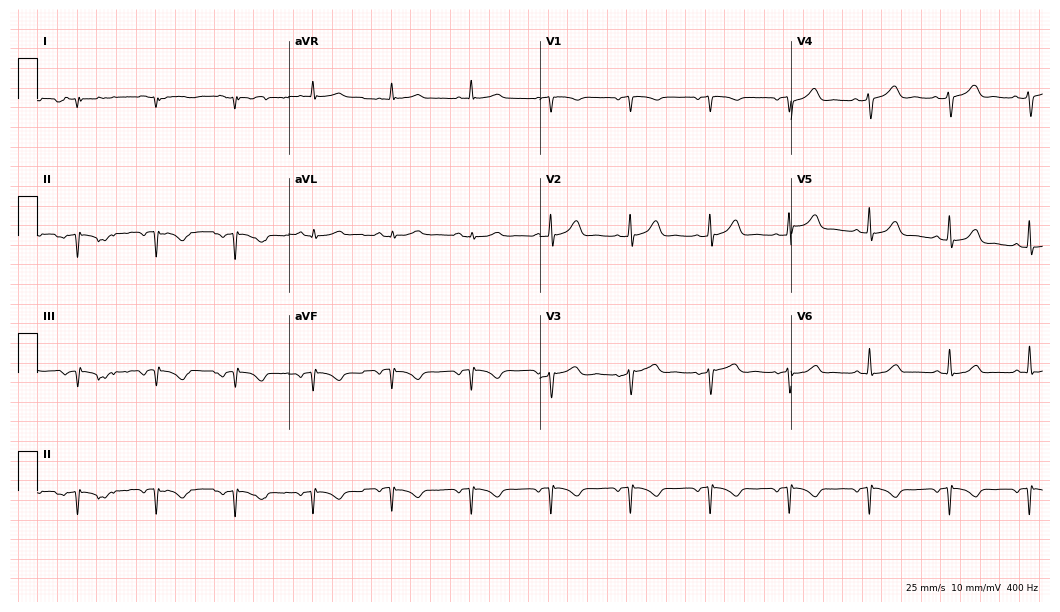
12-lead ECG from a 57-year-old woman. No first-degree AV block, right bundle branch block, left bundle branch block, sinus bradycardia, atrial fibrillation or sinus tachycardia recorded for this tracing. Other findings, if any, are not listed.